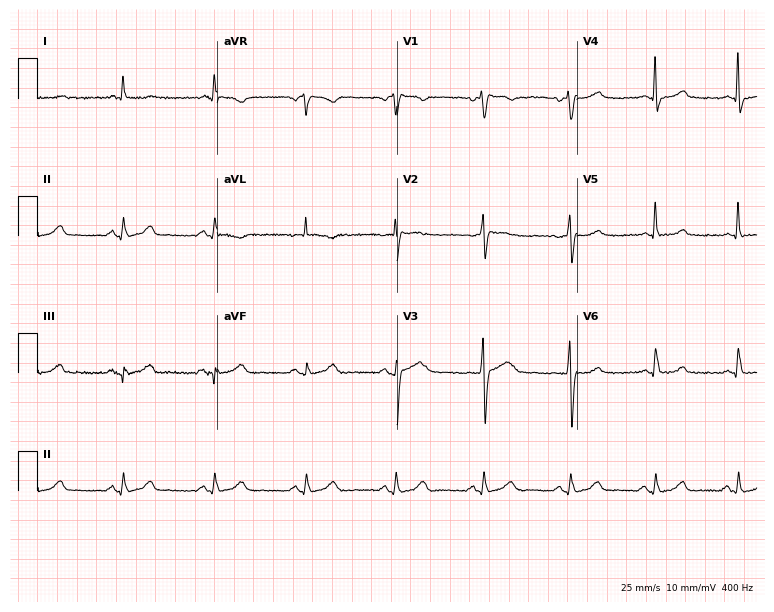
Electrocardiogram, a female, 60 years old. Of the six screened findings (first-degree AV block, right bundle branch block (RBBB), left bundle branch block (LBBB), sinus bradycardia, atrial fibrillation (AF), sinus tachycardia), none is recorded. Findings outside these six are not listed.